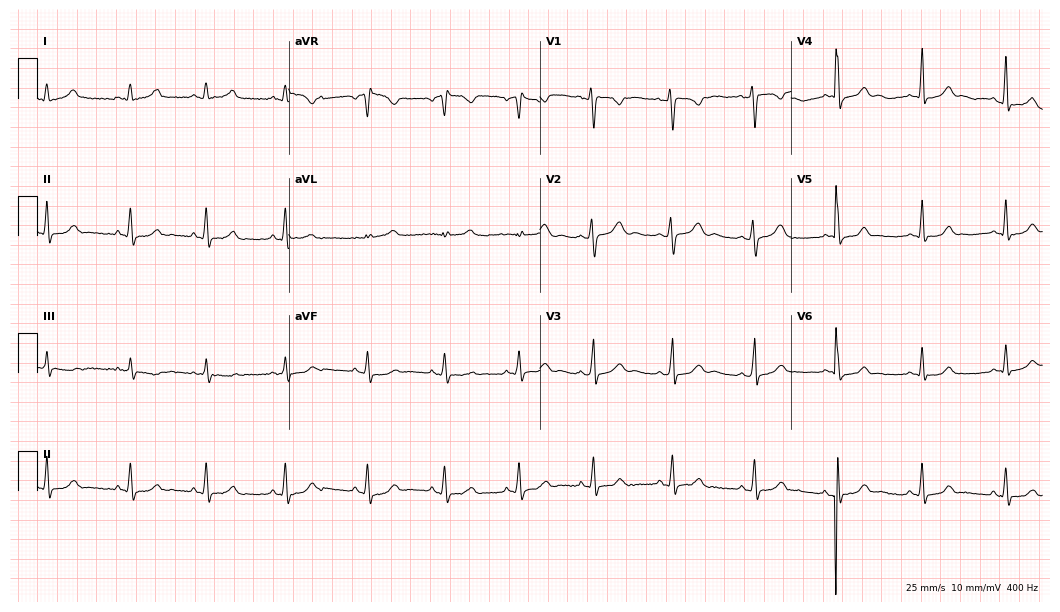
ECG — a 25-year-old female patient. Screened for six findings — first-degree AV block, right bundle branch block (RBBB), left bundle branch block (LBBB), sinus bradycardia, atrial fibrillation (AF), sinus tachycardia — none is recorded. Only these six findings were labelled.